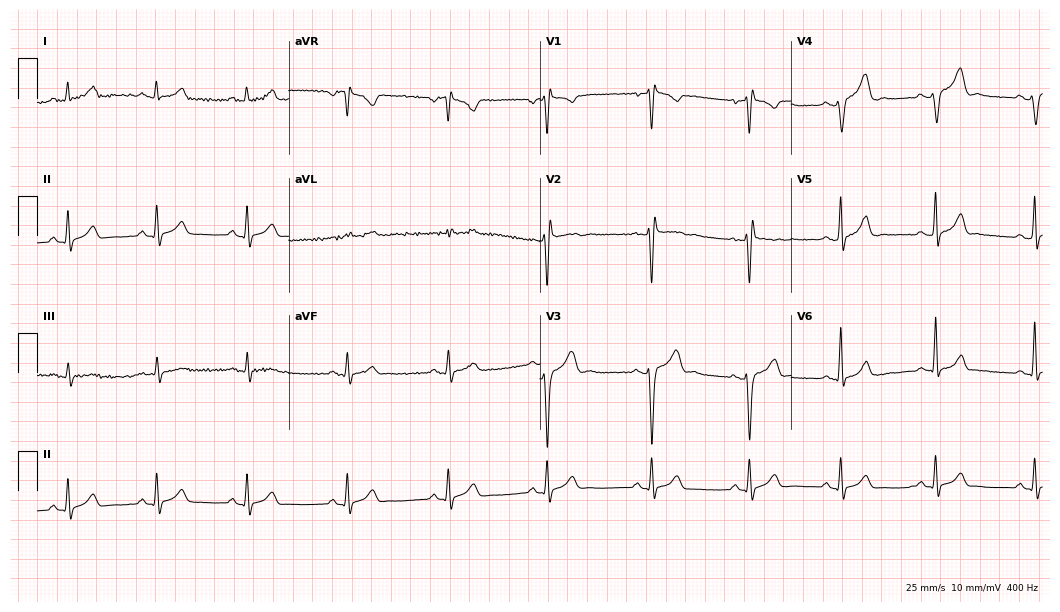
Resting 12-lead electrocardiogram. Patient: a 23-year-old man. None of these six findings is recorded: first-degree AV block, right bundle branch block (RBBB), left bundle branch block (LBBB), sinus bradycardia, atrial fibrillation (AF), sinus tachycardia.